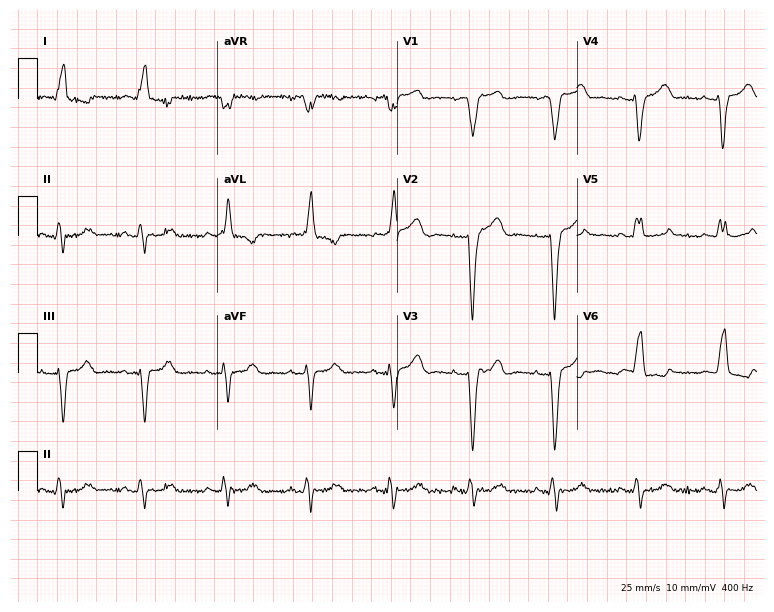
12-lead ECG from an 83-year-old woman (7.3-second recording at 400 Hz). No first-degree AV block, right bundle branch block, left bundle branch block, sinus bradycardia, atrial fibrillation or sinus tachycardia recorded for this tracing. Only these six findings were labelled.